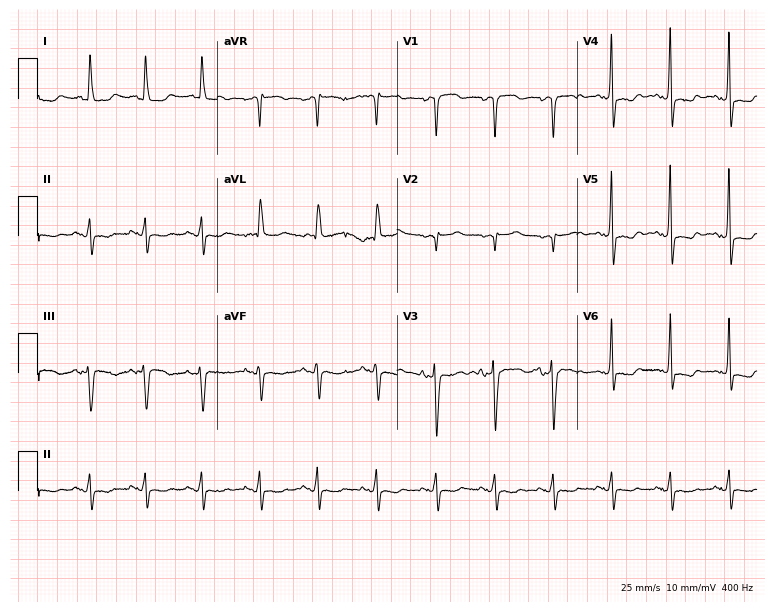
12-lead ECG from a female, 82 years old. Screened for six findings — first-degree AV block, right bundle branch block, left bundle branch block, sinus bradycardia, atrial fibrillation, sinus tachycardia — none is recorded. Other findings, if any, are not listed.